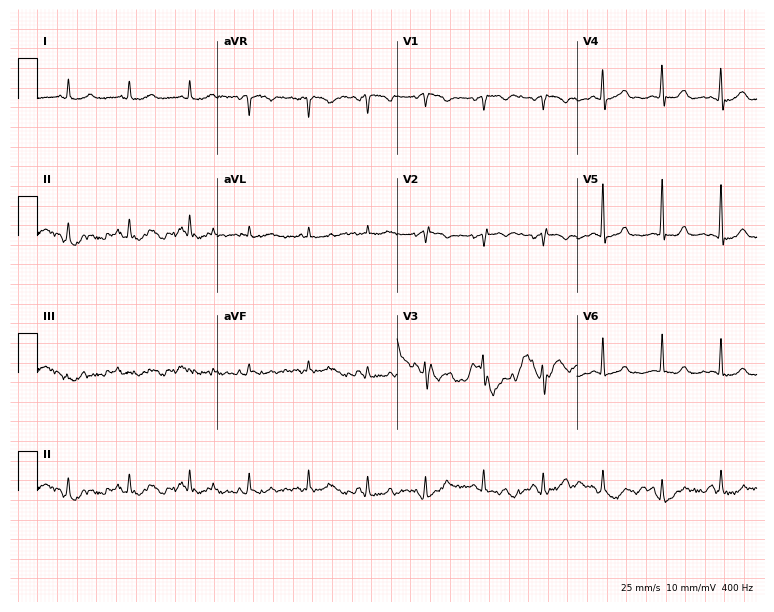
12-lead ECG from a female, 64 years old. No first-degree AV block, right bundle branch block, left bundle branch block, sinus bradycardia, atrial fibrillation or sinus tachycardia recorded for this tracing. Only these six findings were labelled.